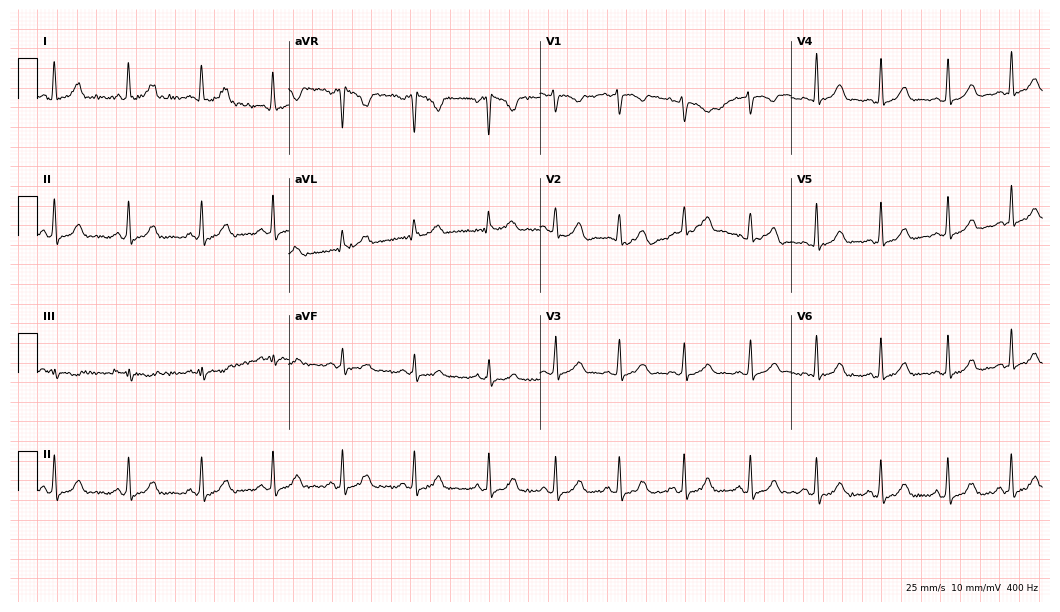
12-lead ECG from a 22-year-old female patient (10.2-second recording at 400 Hz). Recorded interpretation: within normal limits.